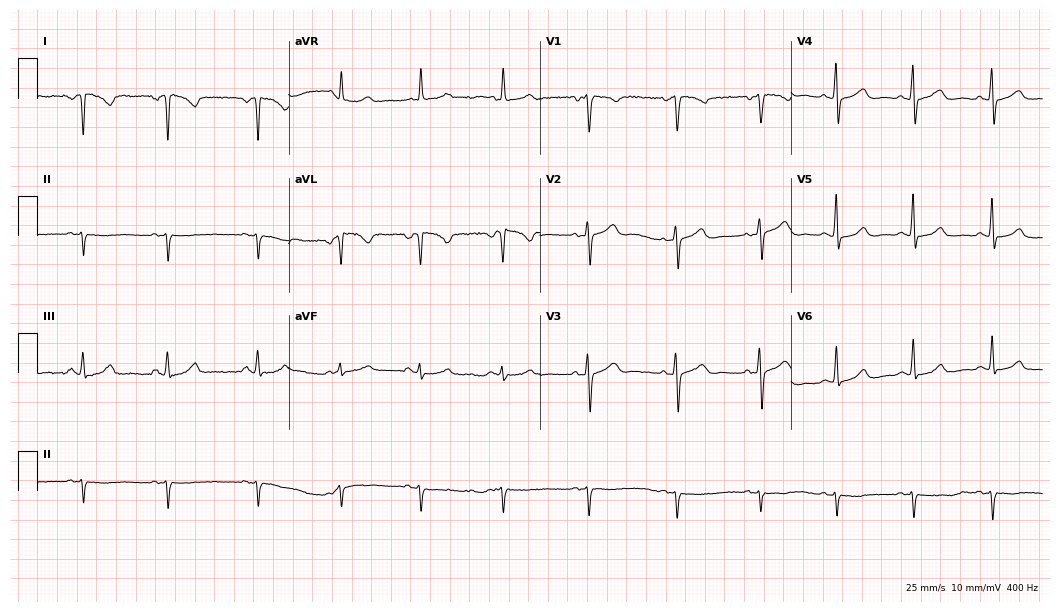
Resting 12-lead electrocardiogram (10.2-second recording at 400 Hz). Patient: a 56-year-old woman. None of these six findings is recorded: first-degree AV block, right bundle branch block, left bundle branch block, sinus bradycardia, atrial fibrillation, sinus tachycardia. Findings outside these six are not listed.